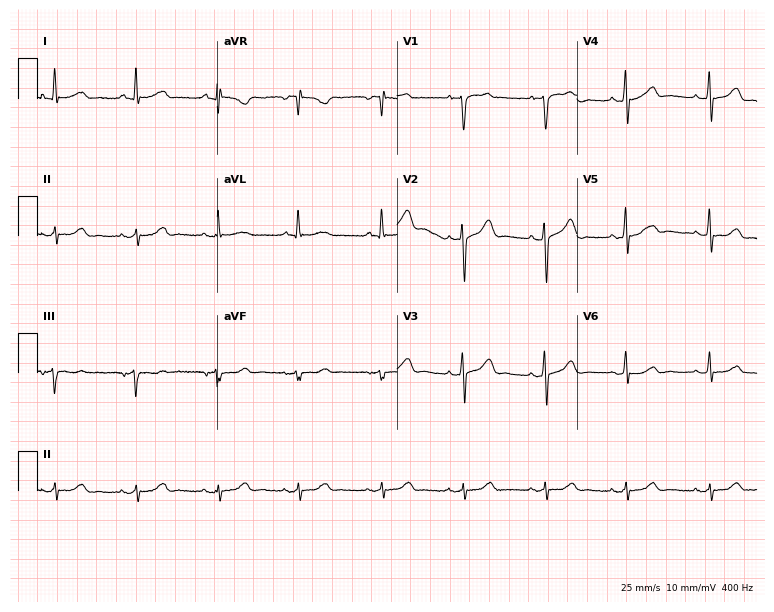
Resting 12-lead electrocardiogram (7.3-second recording at 400 Hz). Patient: a male, 83 years old. Read as a normal ECG.